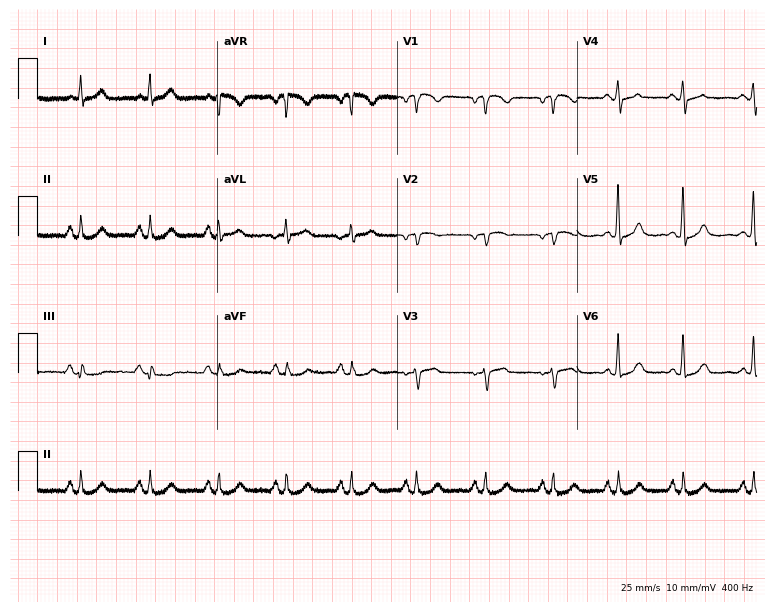
12-lead ECG (7.3-second recording at 400 Hz) from a 73-year-old woman. Labelled as a normal ECG.